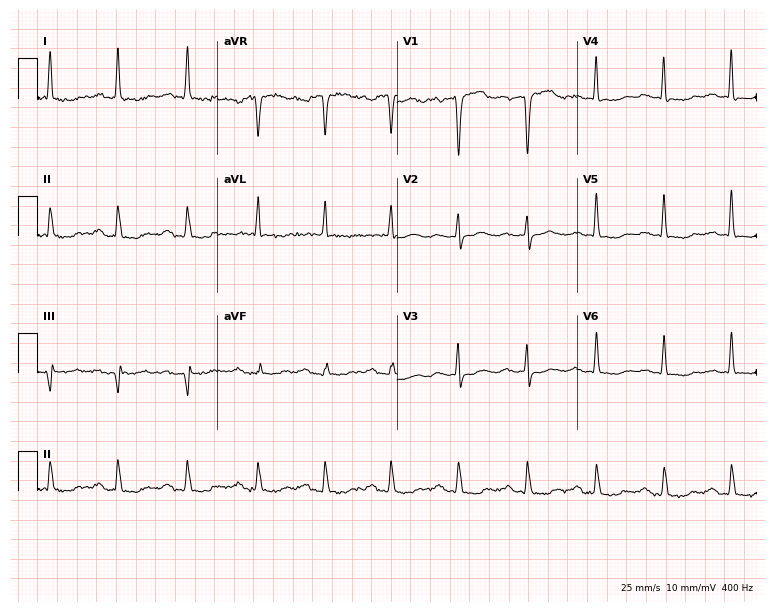
12-lead ECG from a 61-year-old woman. Findings include first-degree AV block.